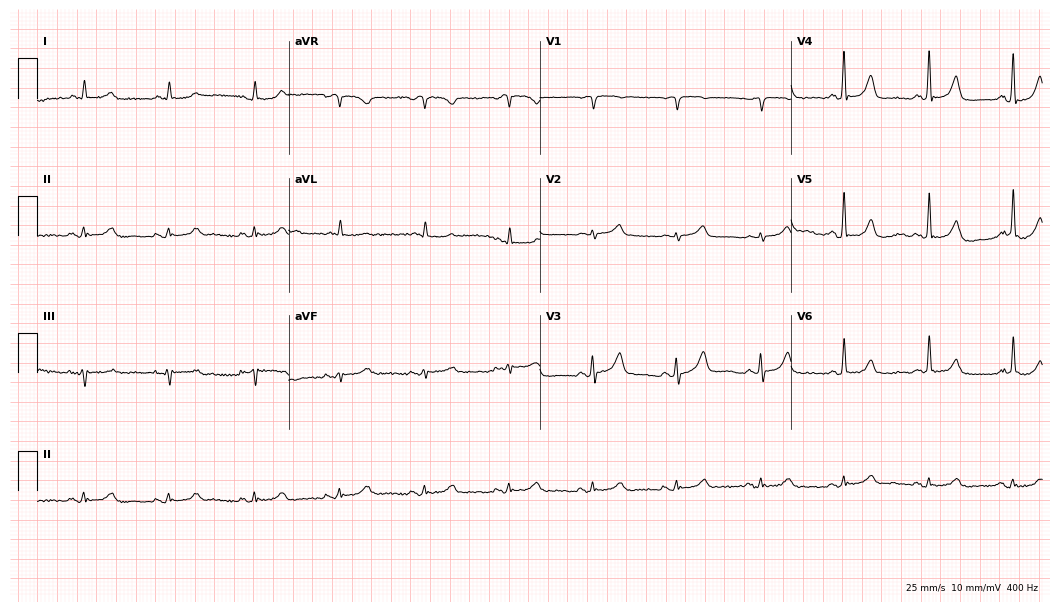
Standard 12-lead ECG recorded from a man, 78 years old. Read as a normal ECG.